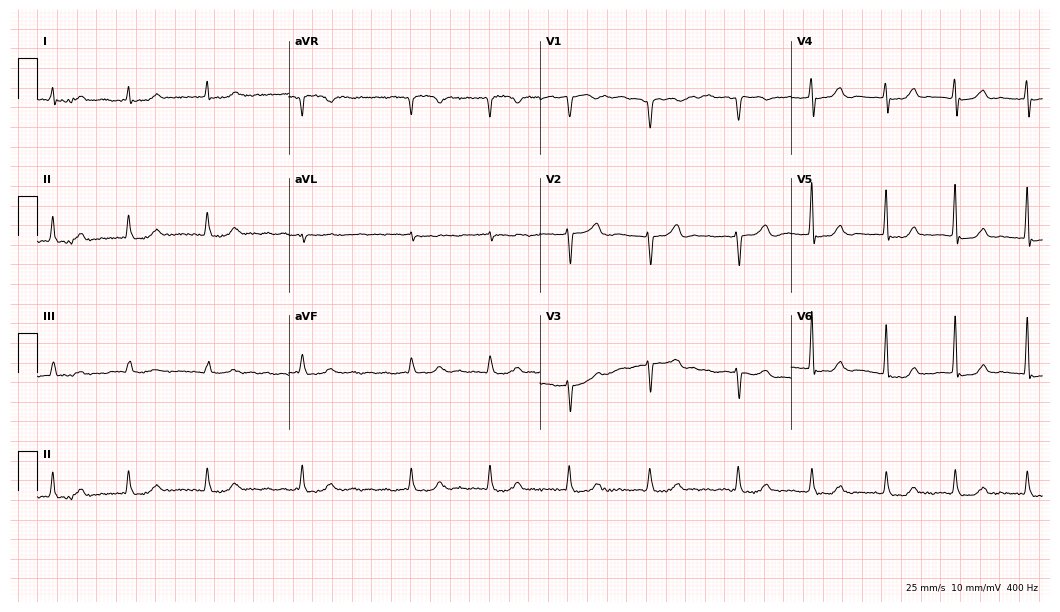
Standard 12-lead ECG recorded from an 84-year-old male. The tracing shows atrial fibrillation.